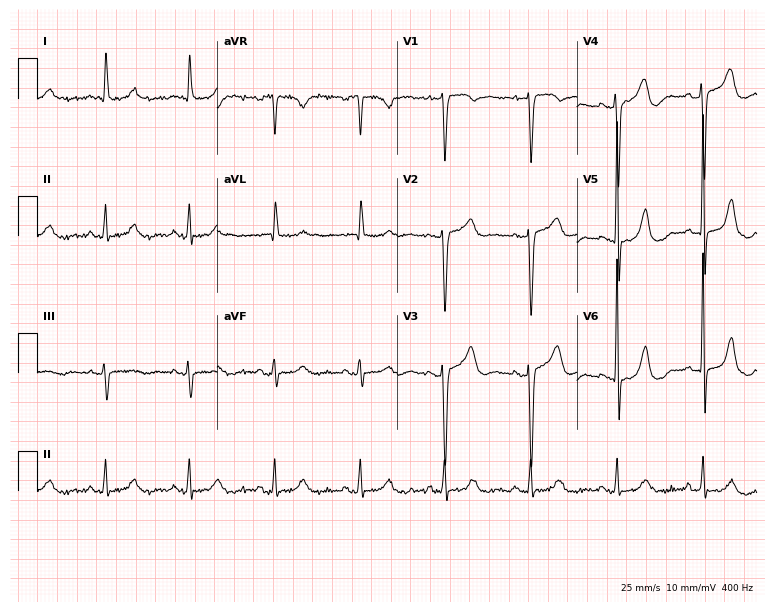
ECG — a female patient, 73 years old. Labelled as a normal ECG.